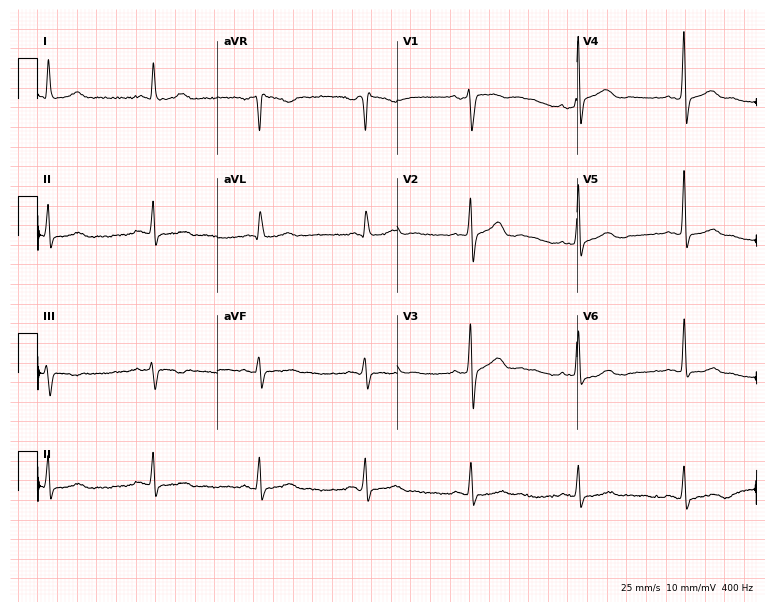
ECG — a male patient, 63 years old. Screened for six findings — first-degree AV block, right bundle branch block (RBBB), left bundle branch block (LBBB), sinus bradycardia, atrial fibrillation (AF), sinus tachycardia — none is recorded. Only these six findings were labelled.